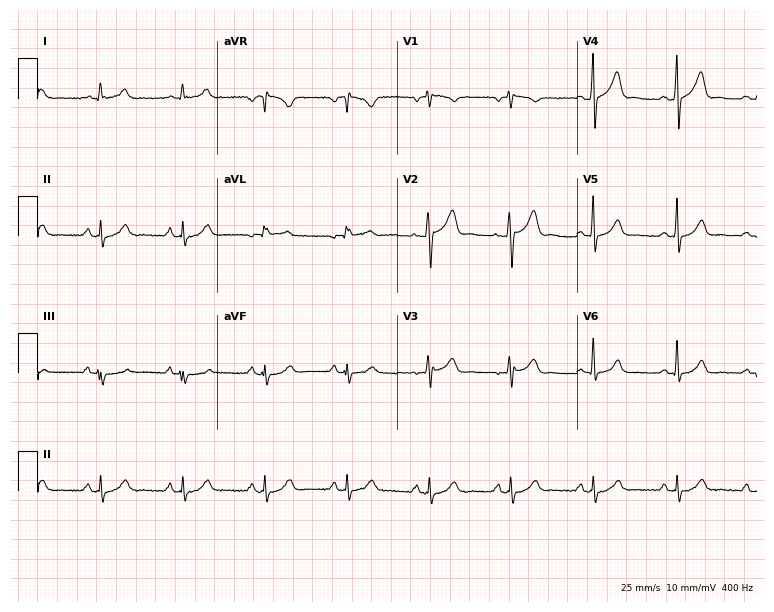
12-lead ECG from a male patient, 52 years old (7.3-second recording at 400 Hz). Recorded interpretation: within normal limits.